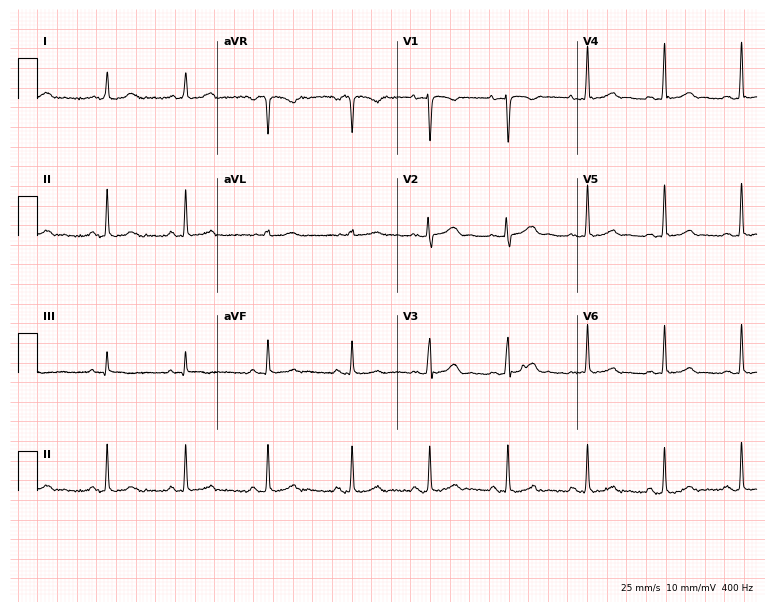
Electrocardiogram, a 26-year-old female patient. Overall reading on record: normal ECG.